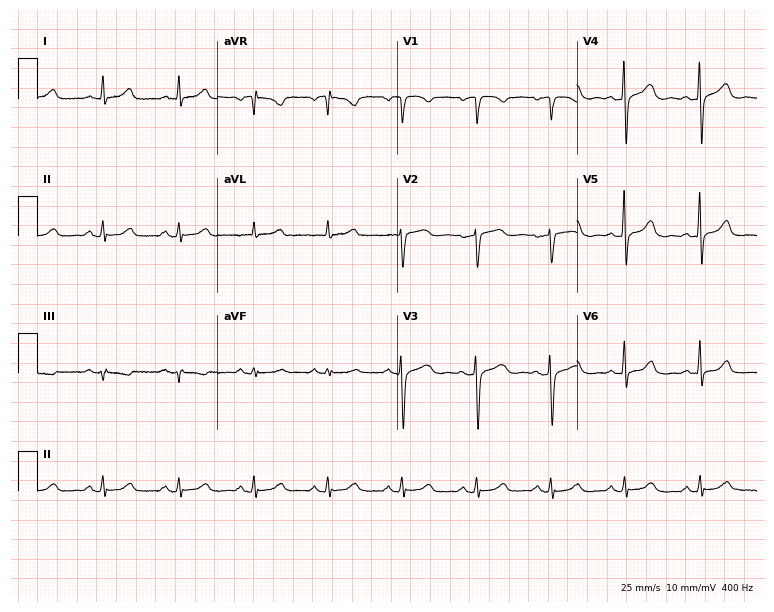
Resting 12-lead electrocardiogram. Patient: a female, 53 years old. Read as a normal ECG.